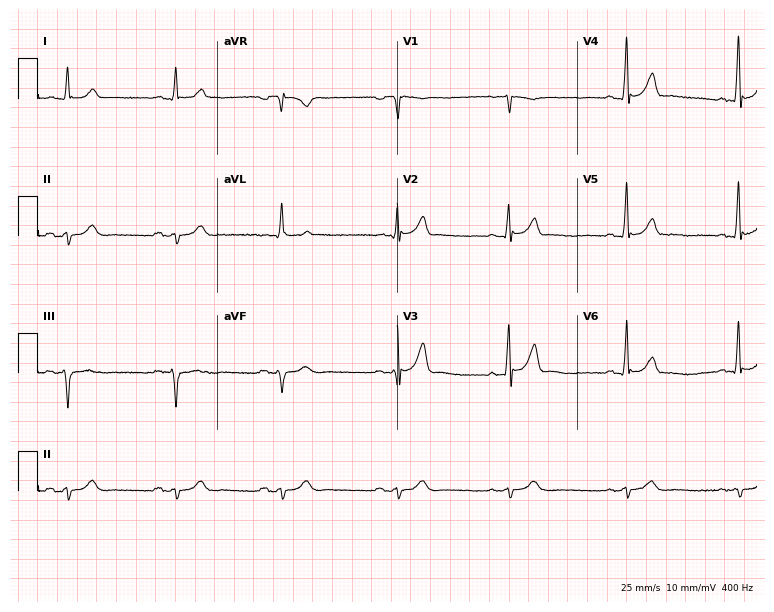
Electrocardiogram (7.3-second recording at 400 Hz), a 45-year-old man. Of the six screened findings (first-degree AV block, right bundle branch block, left bundle branch block, sinus bradycardia, atrial fibrillation, sinus tachycardia), none is recorded. Findings outside these six are not listed.